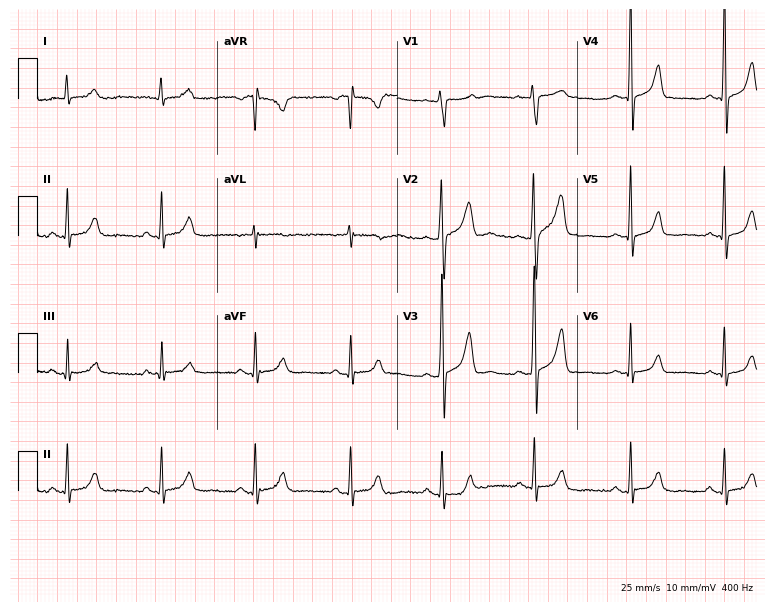
12-lead ECG (7.3-second recording at 400 Hz) from a 32-year-old woman. Screened for six findings — first-degree AV block, right bundle branch block, left bundle branch block, sinus bradycardia, atrial fibrillation, sinus tachycardia — none is recorded. Only these six findings were labelled.